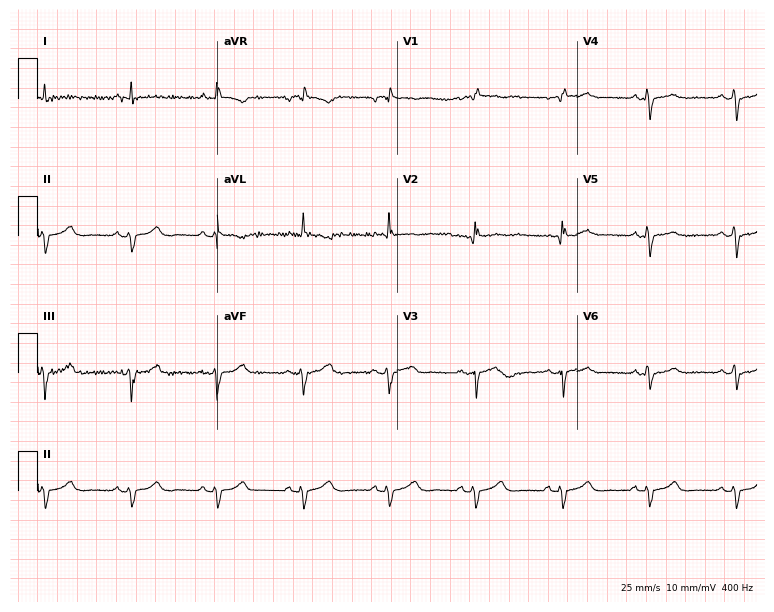
12-lead ECG (7.3-second recording at 400 Hz) from a male patient, 69 years old. Screened for six findings — first-degree AV block, right bundle branch block (RBBB), left bundle branch block (LBBB), sinus bradycardia, atrial fibrillation (AF), sinus tachycardia — none is recorded.